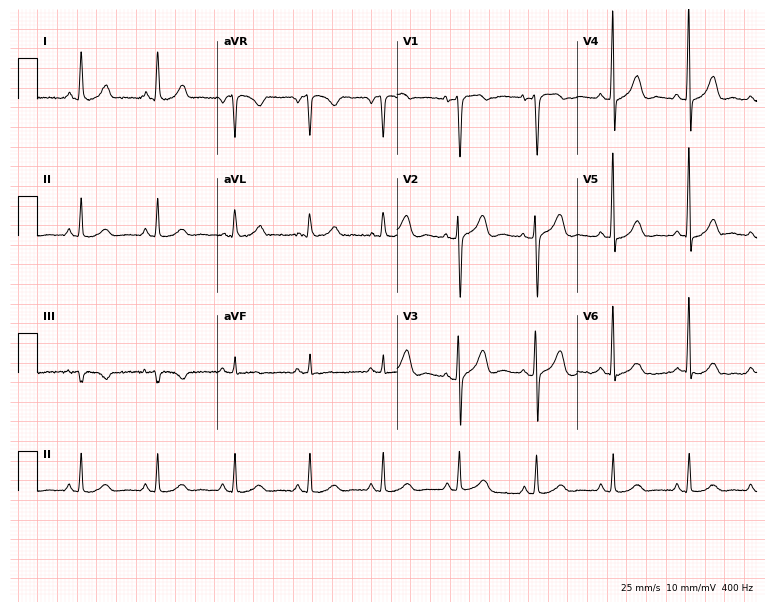
12-lead ECG from a female, 54 years old. Labelled as a normal ECG.